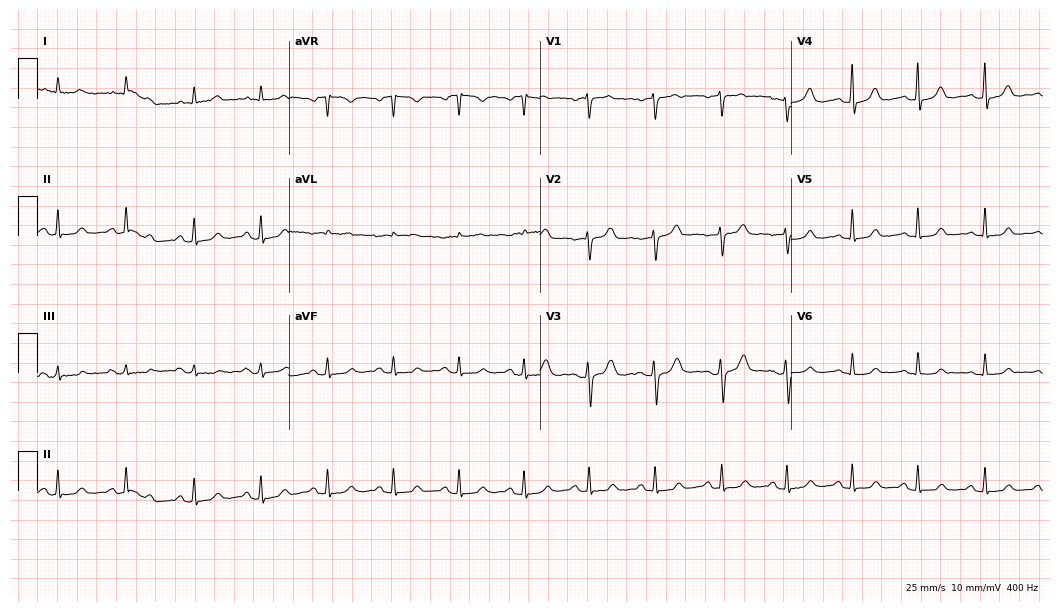
ECG (10.2-second recording at 400 Hz) — a female patient, 51 years old. Labelled as a normal ECG.